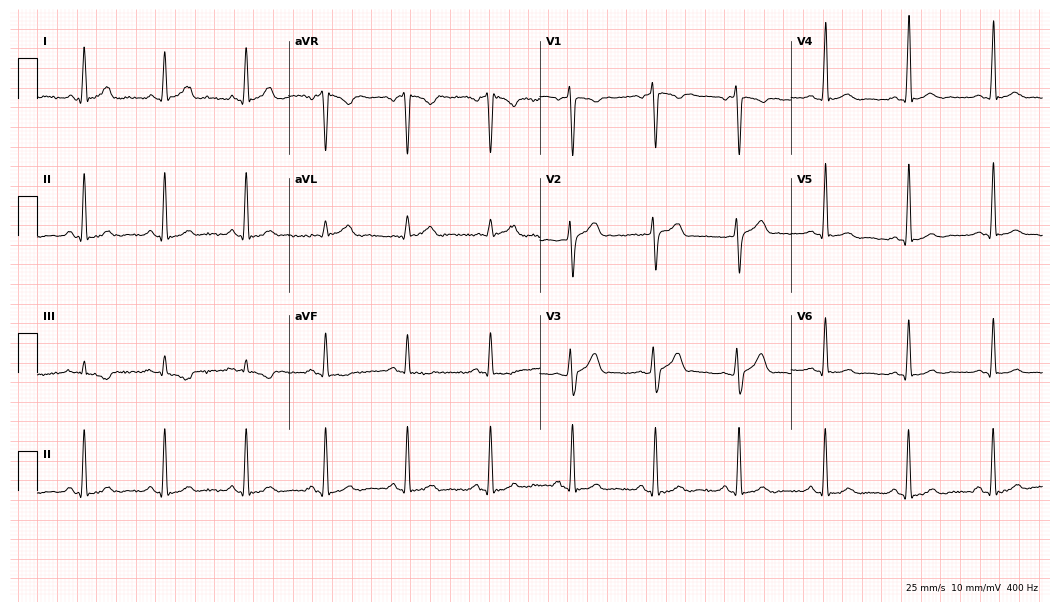
Resting 12-lead electrocardiogram. Patient: a male, 22 years old. Read as a normal ECG.